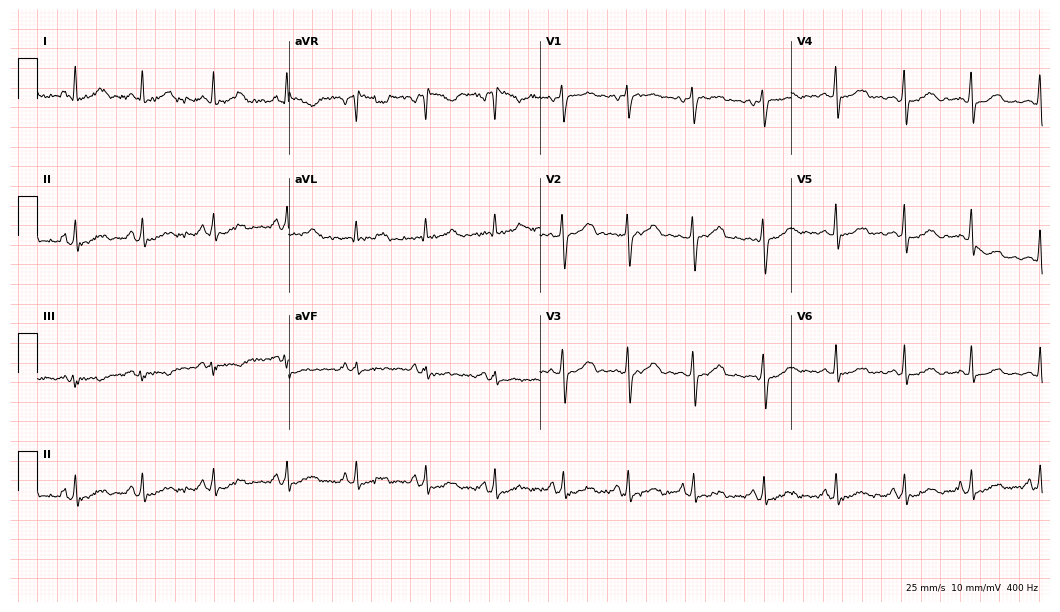
12-lead ECG from a 45-year-old female (10.2-second recording at 400 Hz). Recorded interpretation: within normal limits.